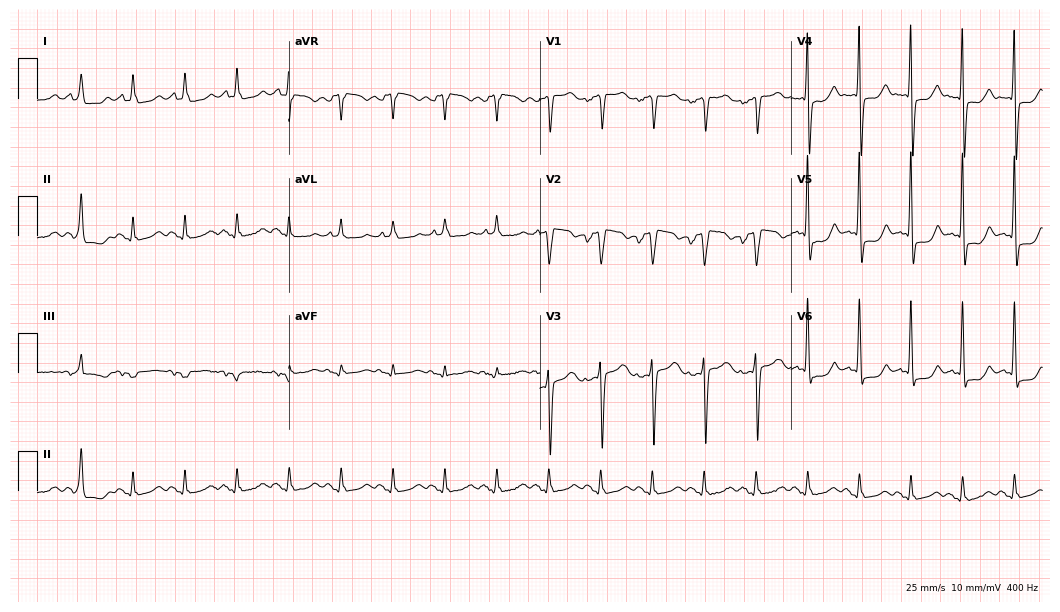
Standard 12-lead ECG recorded from a male, 69 years old. The tracing shows sinus tachycardia (a sinus rate of 100 beats per minute or more).